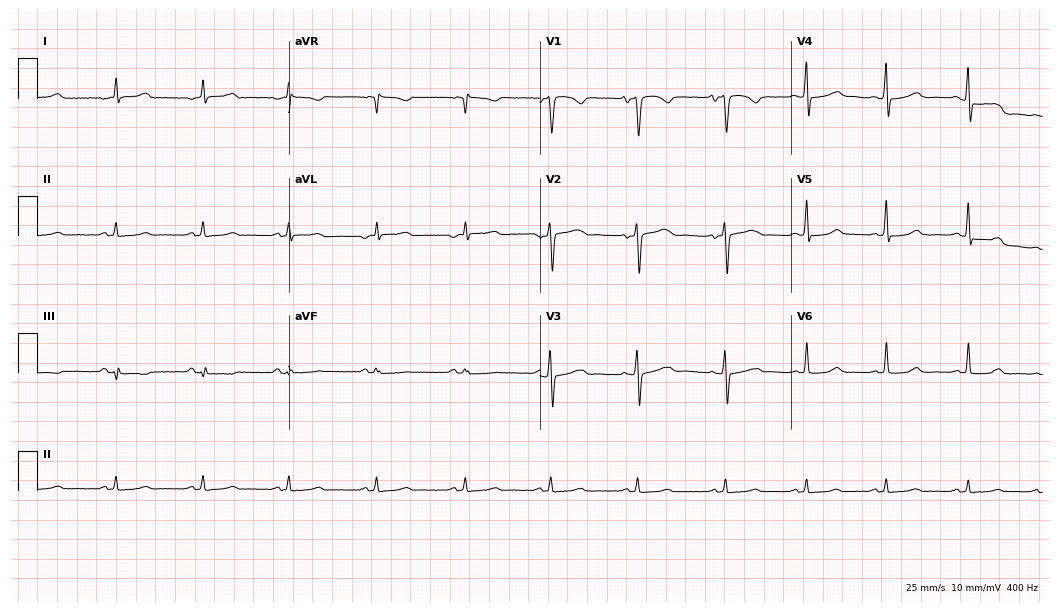
12-lead ECG from a female, 40 years old (10.2-second recording at 400 Hz). Recorded interpretation: within normal limits.